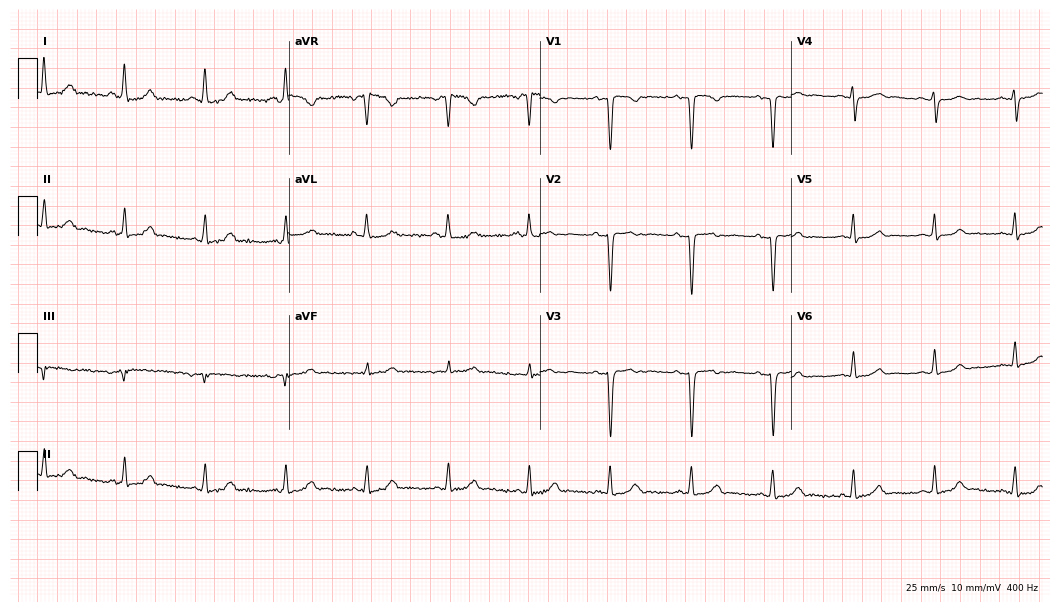
ECG — a 43-year-old woman. Screened for six findings — first-degree AV block, right bundle branch block (RBBB), left bundle branch block (LBBB), sinus bradycardia, atrial fibrillation (AF), sinus tachycardia — none is recorded.